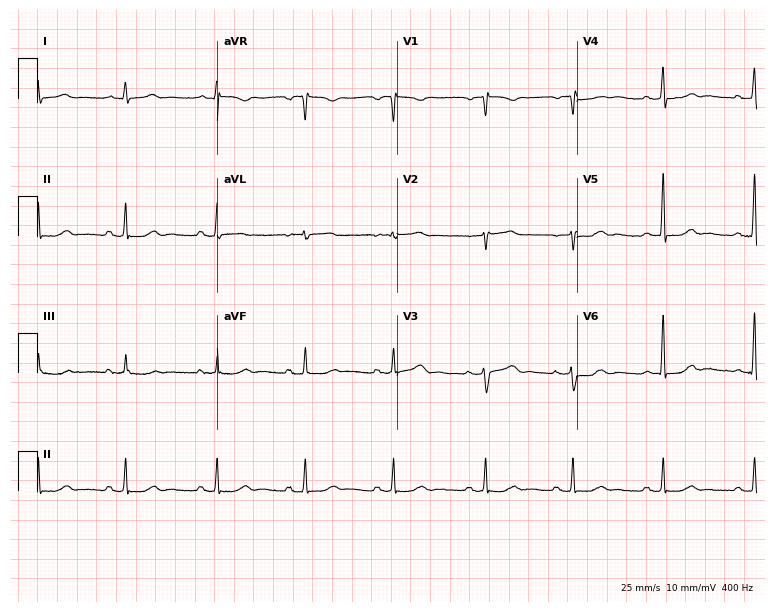
Resting 12-lead electrocardiogram (7.3-second recording at 400 Hz). Patient: a 53-year-old woman. Read as a normal ECG.